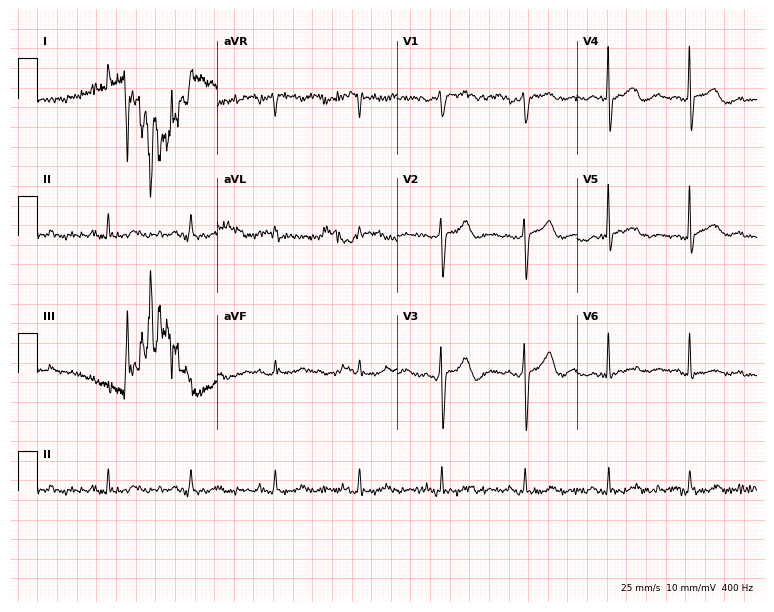
12-lead ECG from a 74-year-old man (7.3-second recording at 400 Hz). No first-degree AV block, right bundle branch block (RBBB), left bundle branch block (LBBB), sinus bradycardia, atrial fibrillation (AF) or sinus tachycardia recorded for this tracing.